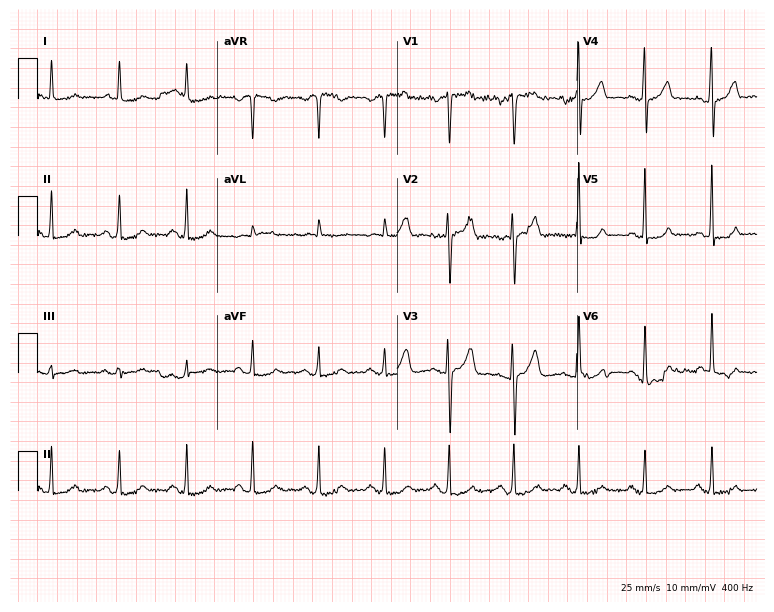
12-lead ECG (7.3-second recording at 400 Hz) from a 48-year-old female patient. Labelled as a normal ECG.